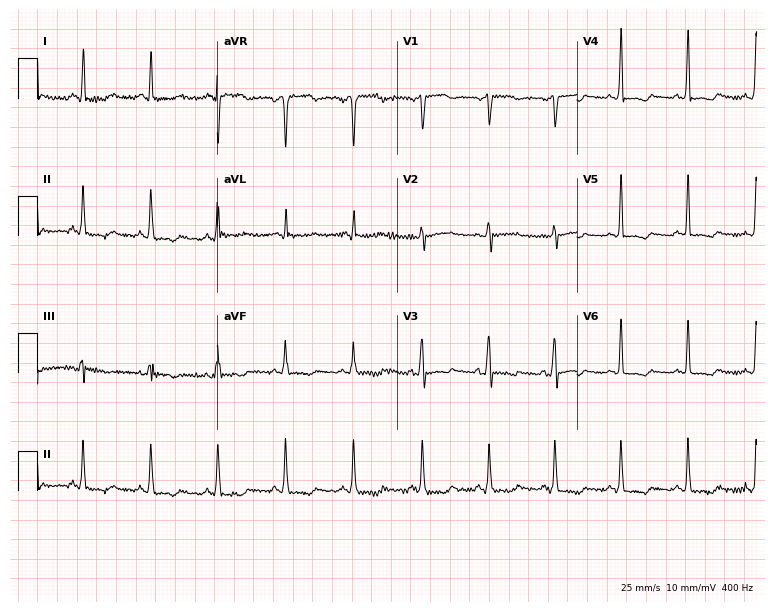
Electrocardiogram, a woman, 50 years old. Of the six screened findings (first-degree AV block, right bundle branch block (RBBB), left bundle branch block (LBBB), sinus bradycardia, atrial fibrillation (AF), sinus tachycardia), none is recorded.